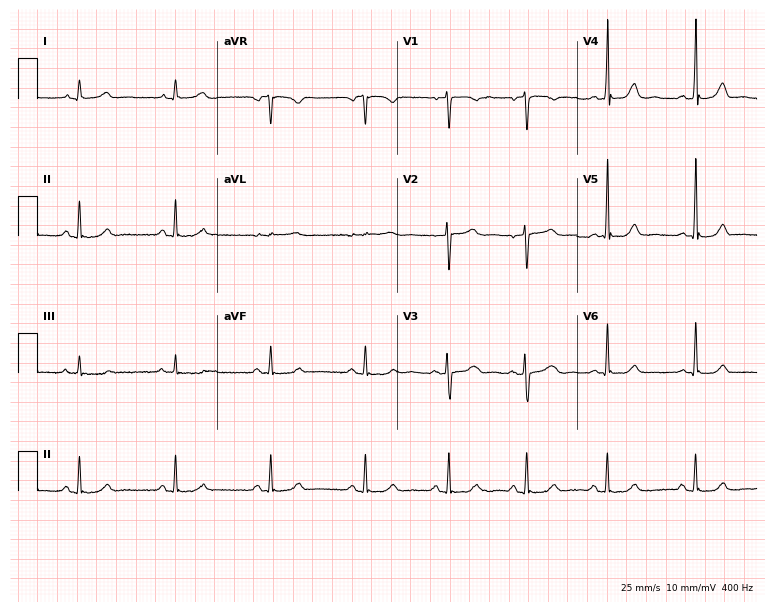
12-lead ECG from a 48-year-old female patient. Recorded interpretation: within normal limits.